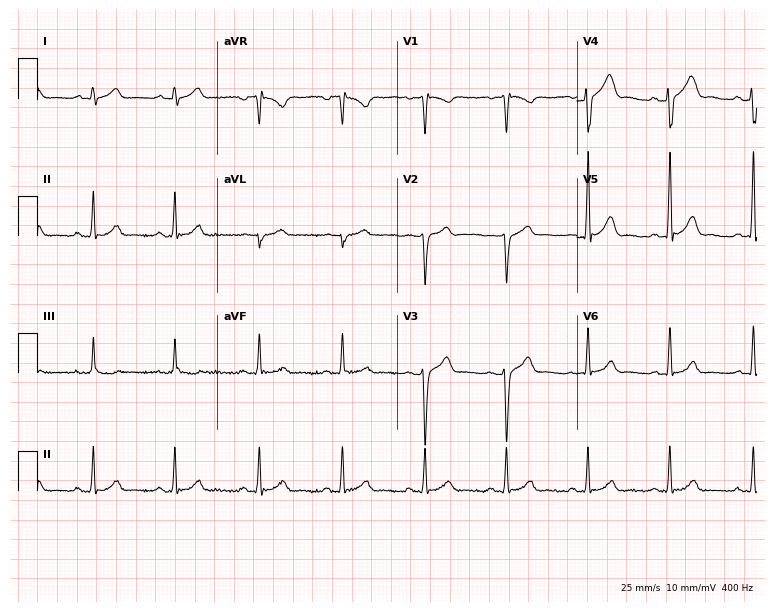
Electrocardiogram, a 33-year-old man. Overall reading on record: normal ECG.